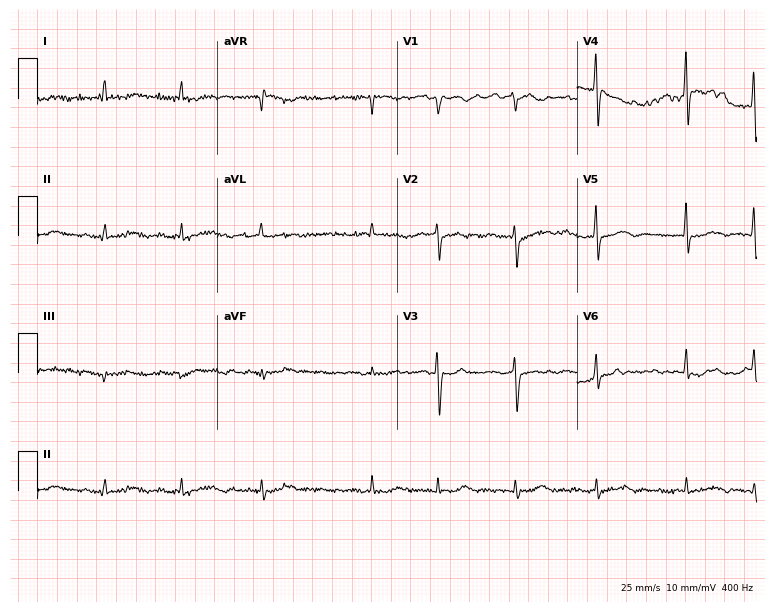
Electrocardiogram, a 76-year-old man. Interpretation includes atrial fibrillation.